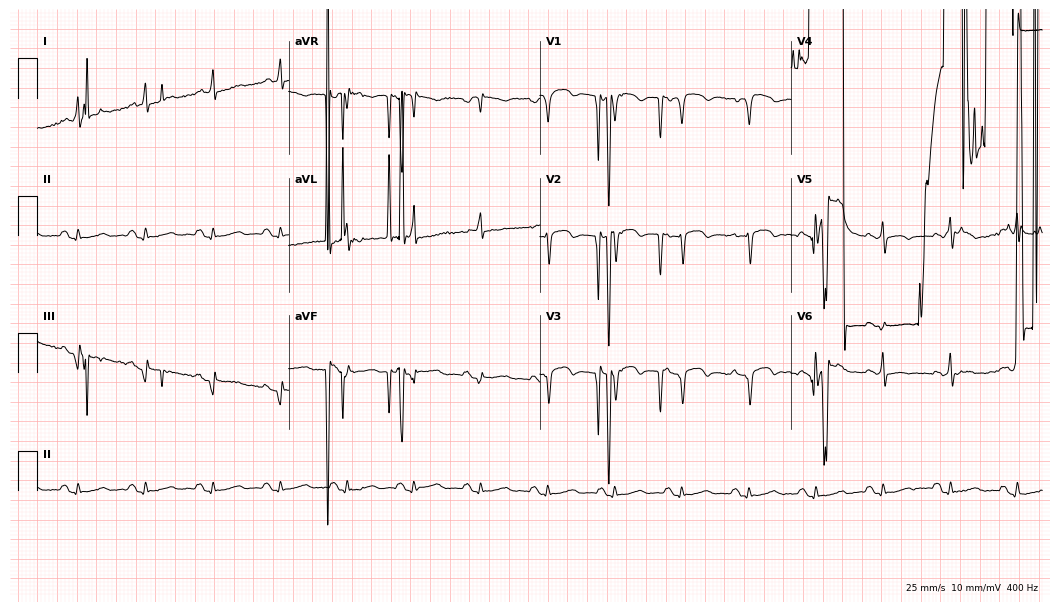
12-lead ECG from a male, 58 years old (10.2-second recording at 400 Hz). No first-degree AV block, right bundle branch block, left bundle branch block, sinus bradycardia, atrial fibrillation or sinus tachycardia recorded for this tracing. Findings outside these six are not listed.